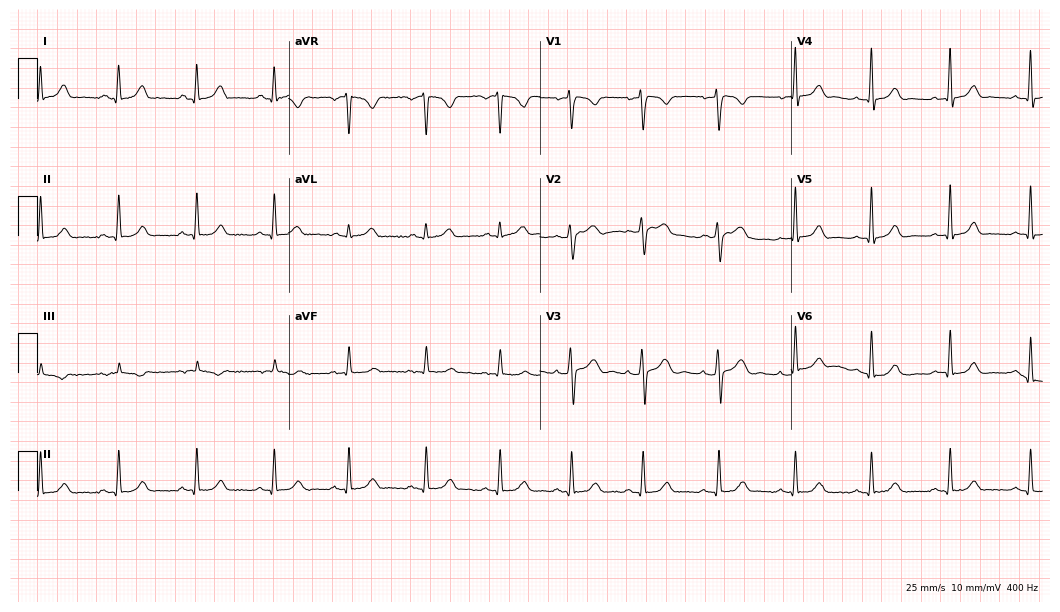
12-lead ECG from a female patient, 37 years old (10.2-second recording at 400 Hz). Recorded interpretation: within normal limits.